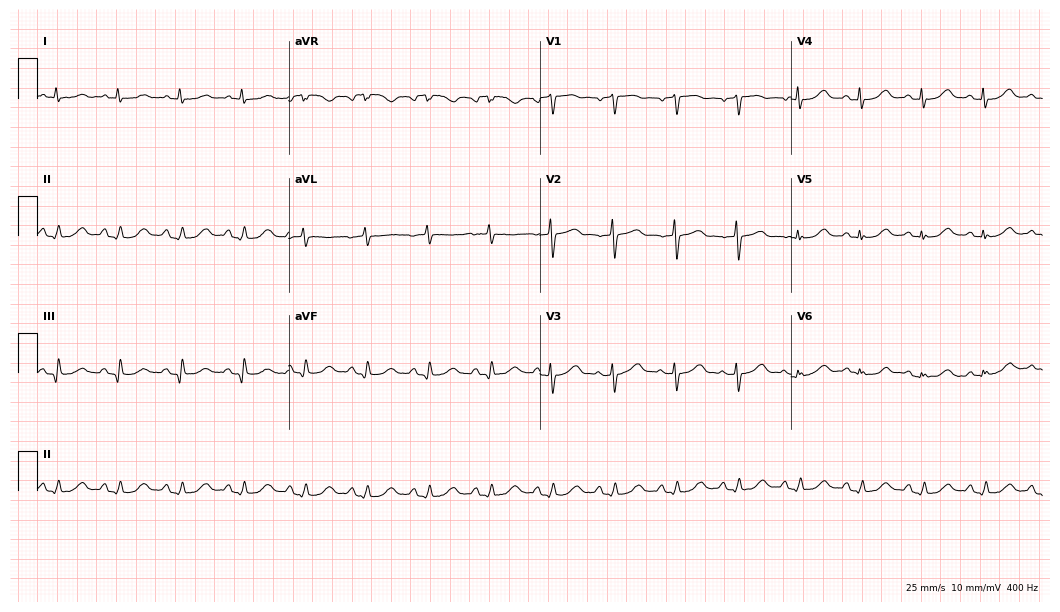
Resting 12-lead electrocardiogram (10.2-second recording at 400 Hz). Patient: an 84-year-old woman. None of these six findings is recorded: first-degree AV block, right bundle branch block, left bundle branch block, sinus bradycardia, atrial fibrillation, sinus tachycardia. Only these six findings were labelled.